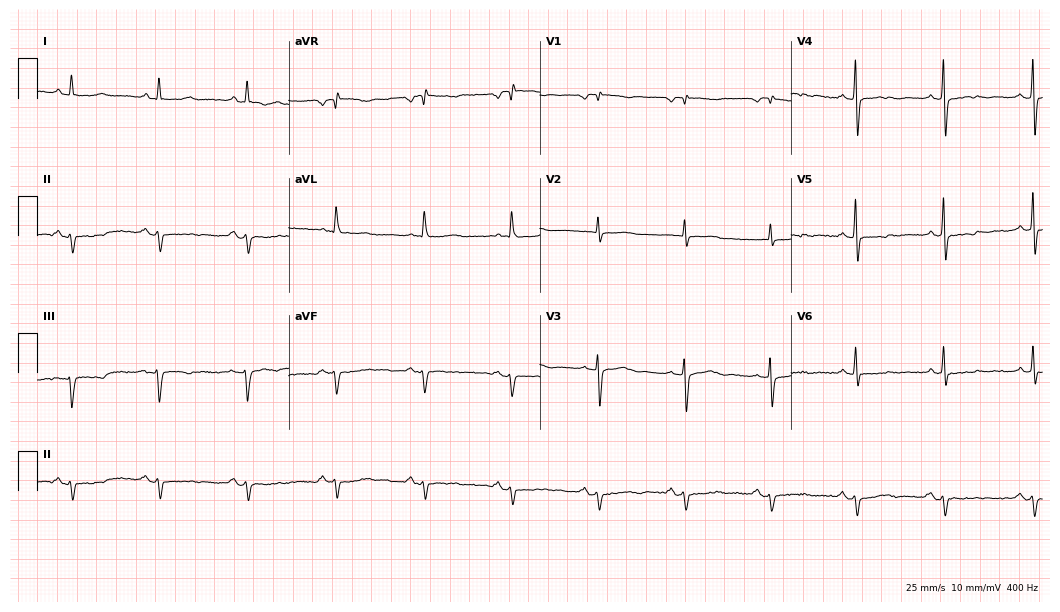
Resting 12-lead electrocardiogram. Patient: a female, 82 years old. None of these six findings is recorded: first-degree AV block, right bundle branch block, left bundle branch block, sinus bradycardia, atrial fibrillation, sinus tachycardia. Only these six findings were labelled.